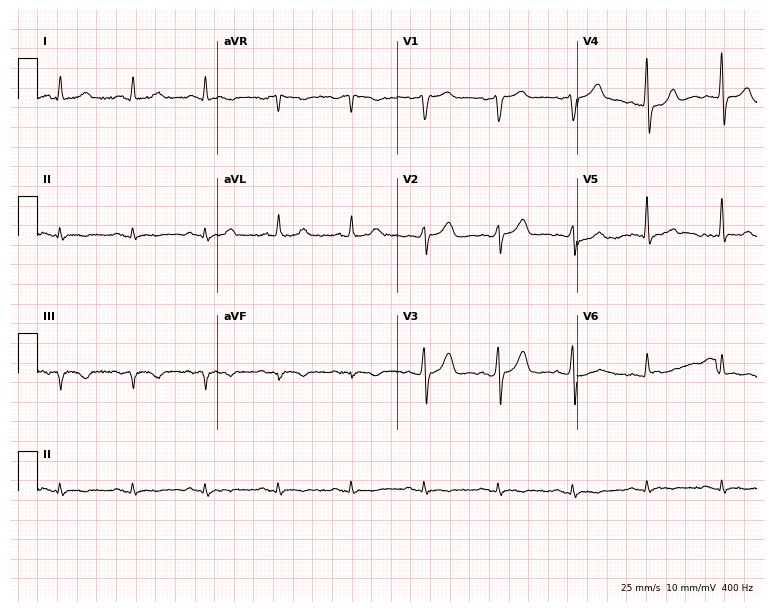
12-lead ECG (7.3-second recording at 400 Hz) from a male, 66 years old. Screened for six findings — first-degree AV block, right bundle branch block, left bundle branch block, sinus bradycardia, atrial fibrillation, sinus tachycardia — none is recorded.